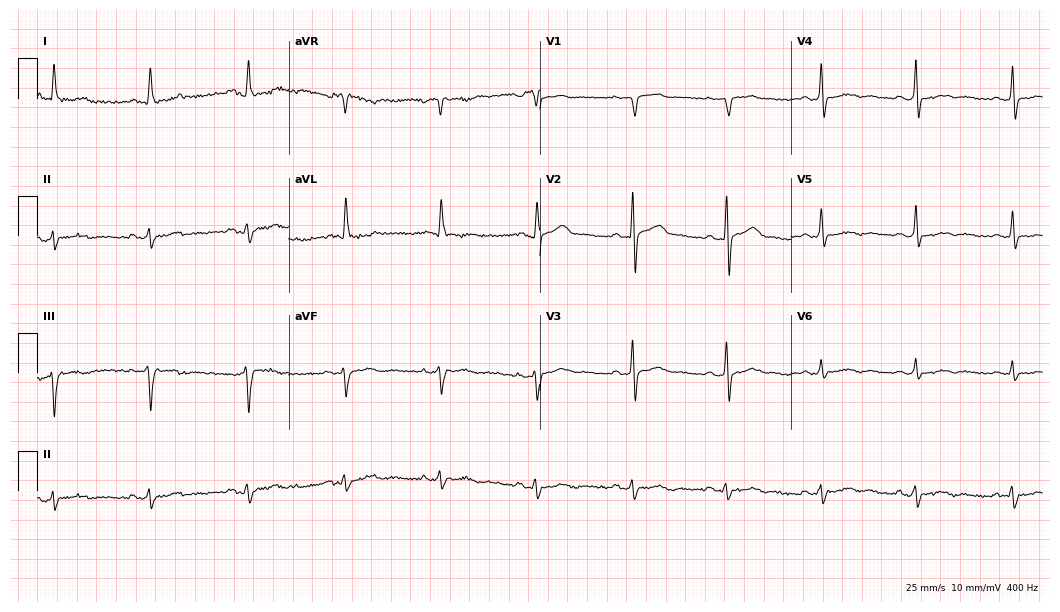
Standard 12-lead ECG recorded from a male, 69 years old. None of these six findings is recorded: first-degree AV block, right bundle branch block (RBBB), left bundle branch block (LBBB), sinus bradycardia, atrial fibrillation (AF), sinus tachycardia.